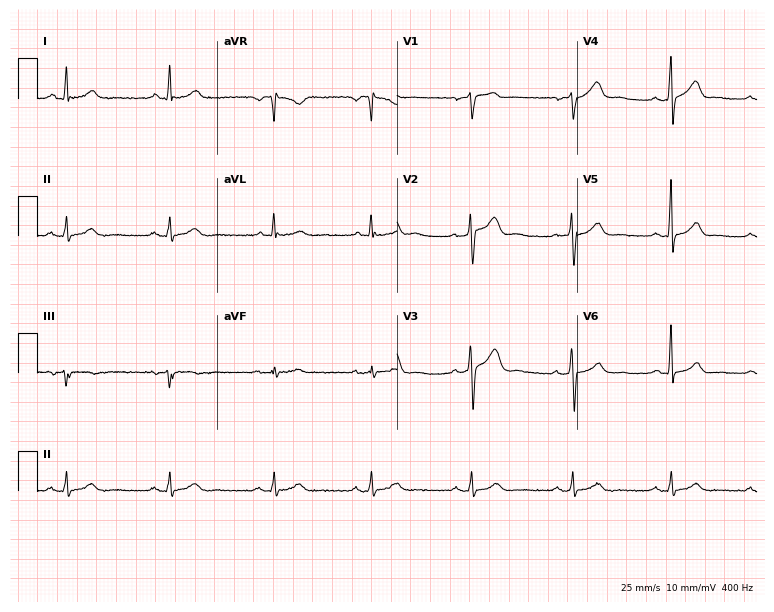
Electrocardiogram (7.3-second recording at 400 Hz), a male, 45 years old. Of the six screened findings (first-degree AV block, right bundle branch block, left bundle branch block, sinus bradycardia, atrial fibrillation, sinus tachycardia), none is recorded.